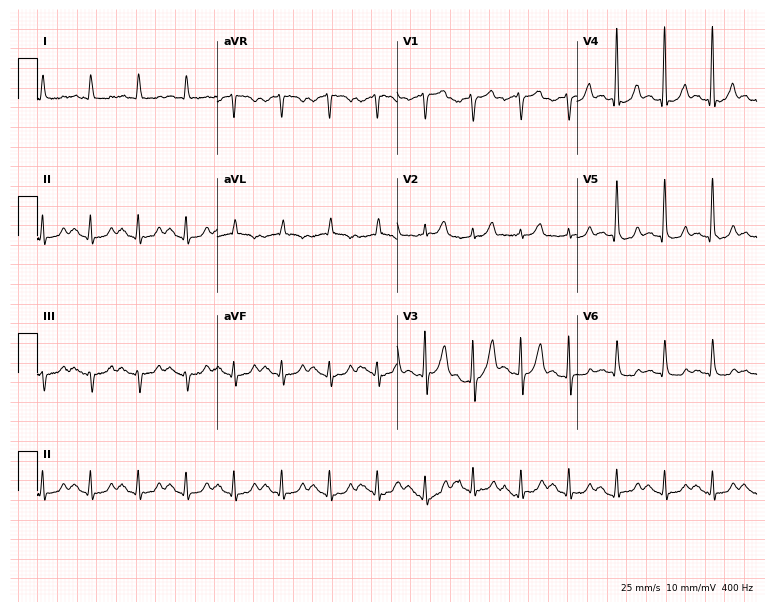
Standard 12-lead ECG recorded from a man, 72 years old (7.3-second recording at 400 Hz). The tracing shows sinus tachycardia (a sinus rate of 100 beats per minute or more).